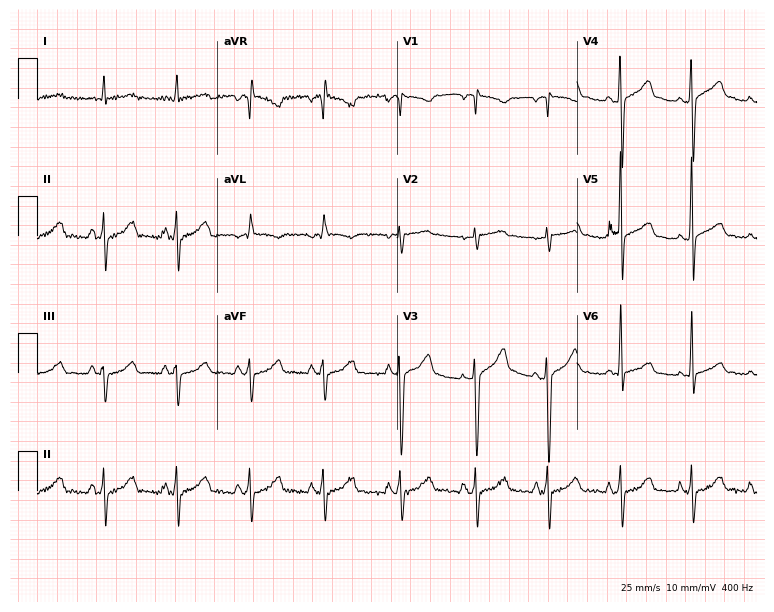
12-lead ECG from a man, 54 years old. Screened for six findings — first-degree AV block, right bundle branch block (RBBB), left bundle branch block (LBBB), sinus bradycardia, atrial fibrillation (AF), sinus tachycardia — none is recorded.